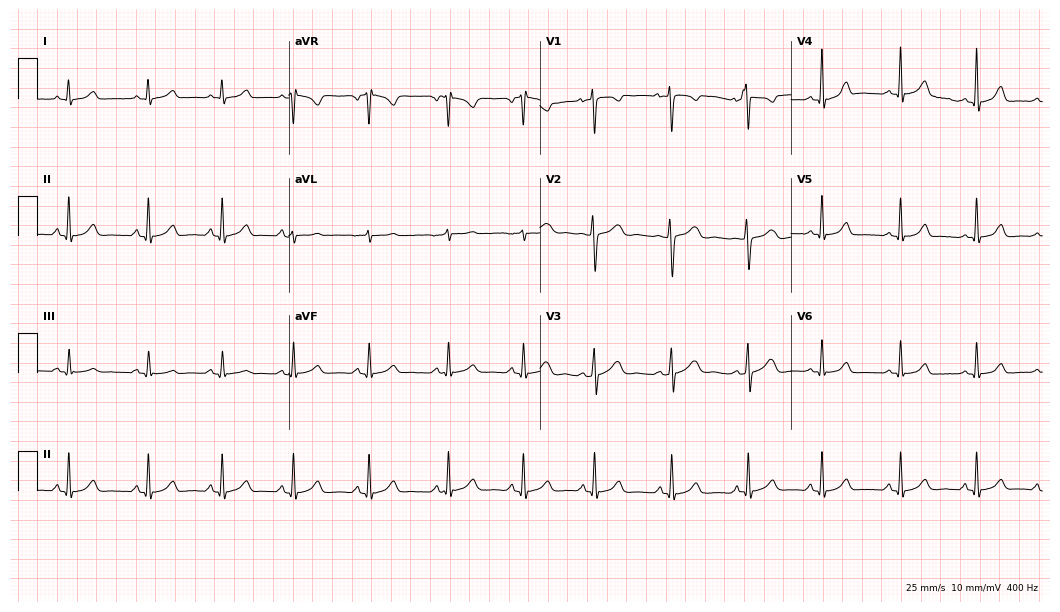
ECG (10.2-second recording at 400 Hz) — a female, 17 years old. Labelled as a normal ECG.